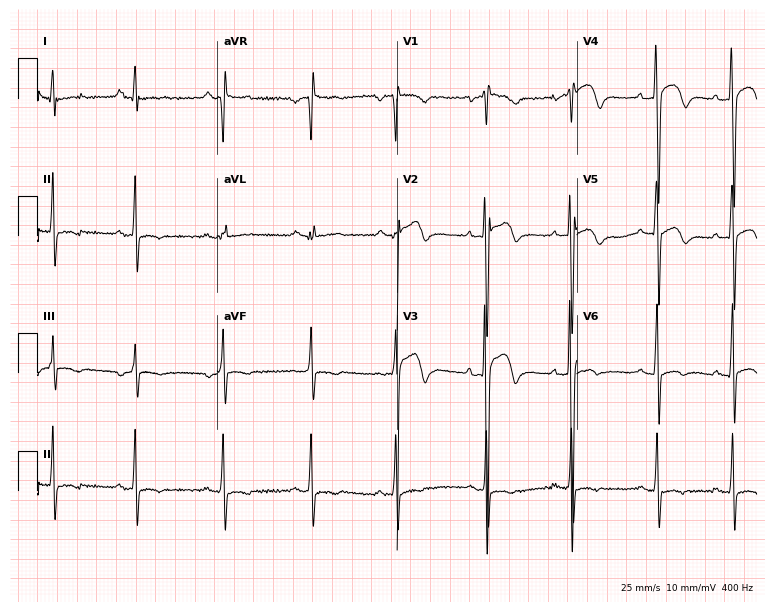
Standard 12-lead ECG recorded from a male, 27 years old (7.3-second recording at 400 Hz). None of these six findings is recorded: first-degree AV block, right bundle branch block (RBBB), left bundle branch block (LBBB), sinus bradycardia, atrial fibrillation (AF), sinus tachycardia.